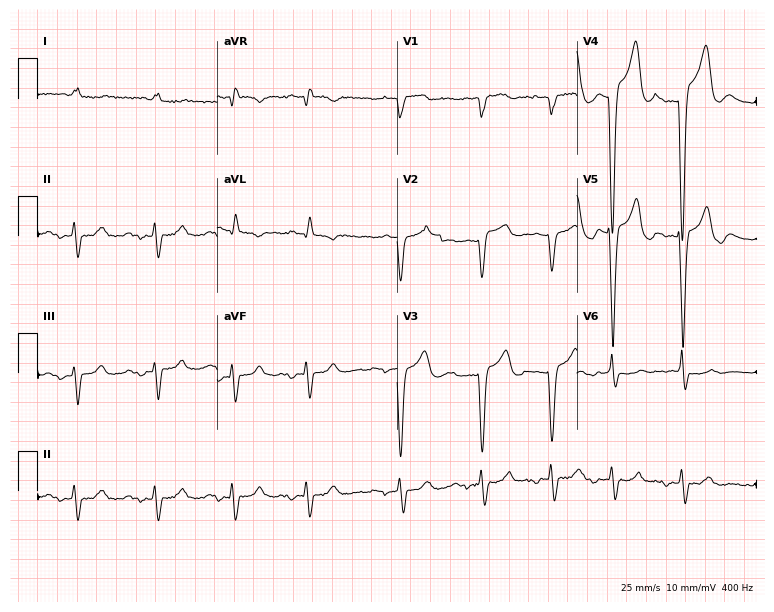
12-lead ECG from an 81-year-old male (7.3-second recording at 400 Hz). Shows left bundle branch block.